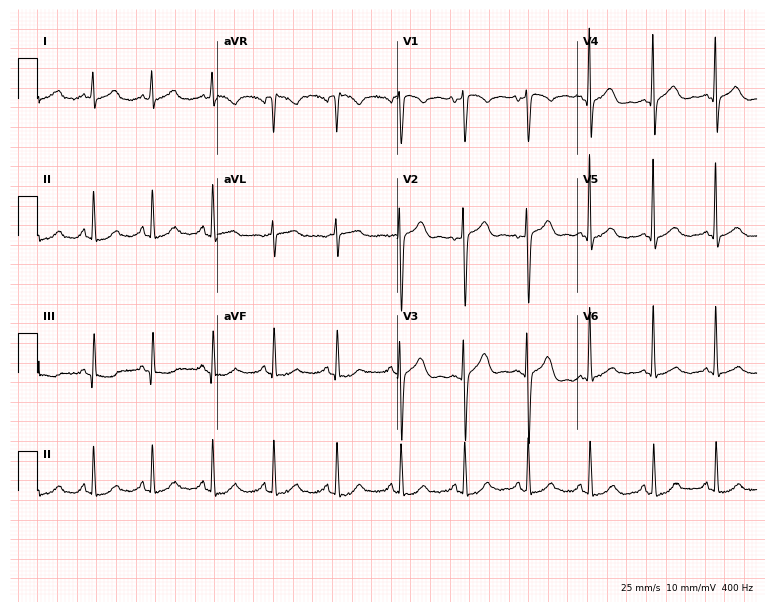
Standard 12-lead ECG recorded from a 53-year-old male. Read as a normal ECG.